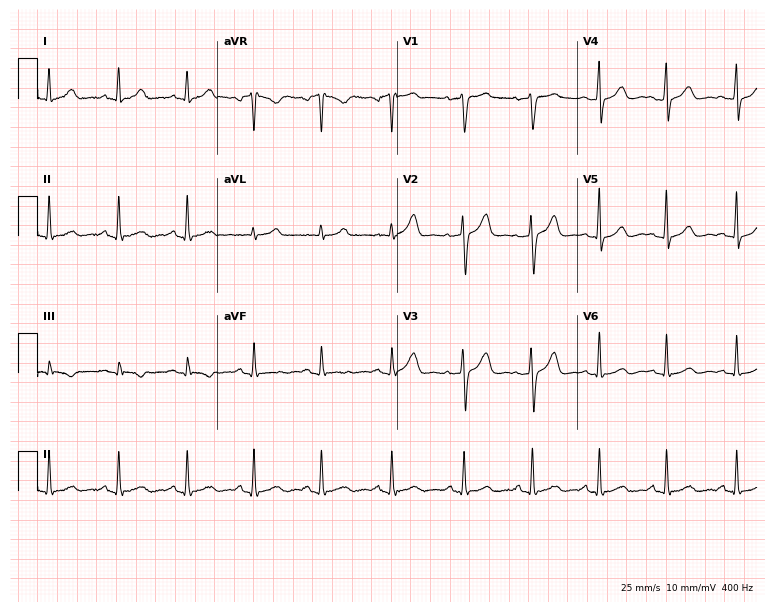
Resting 12-lead electrocardiogram (7.3-second recording at 400 Hz). Patient: a 40-year-old female. Read as a normal ECG.